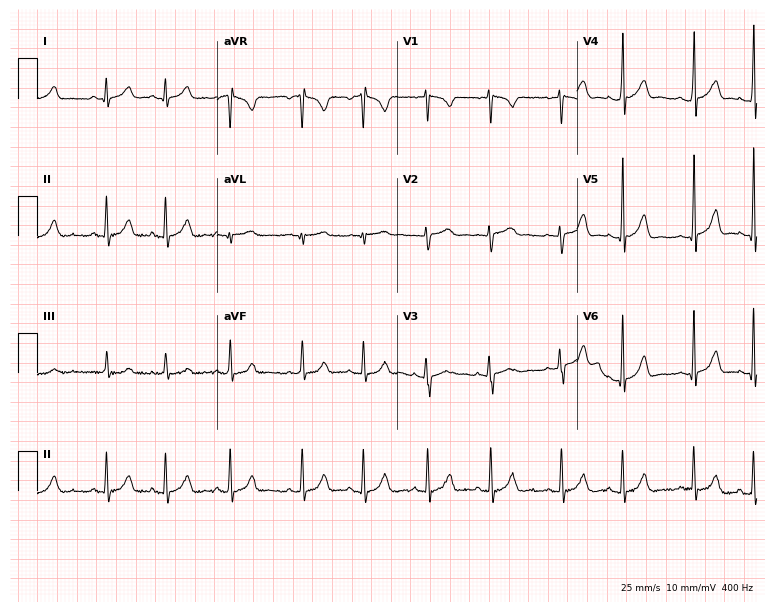
Electrocardiogram, a woman, 19 years old. Overall reading on record: normal ECG.